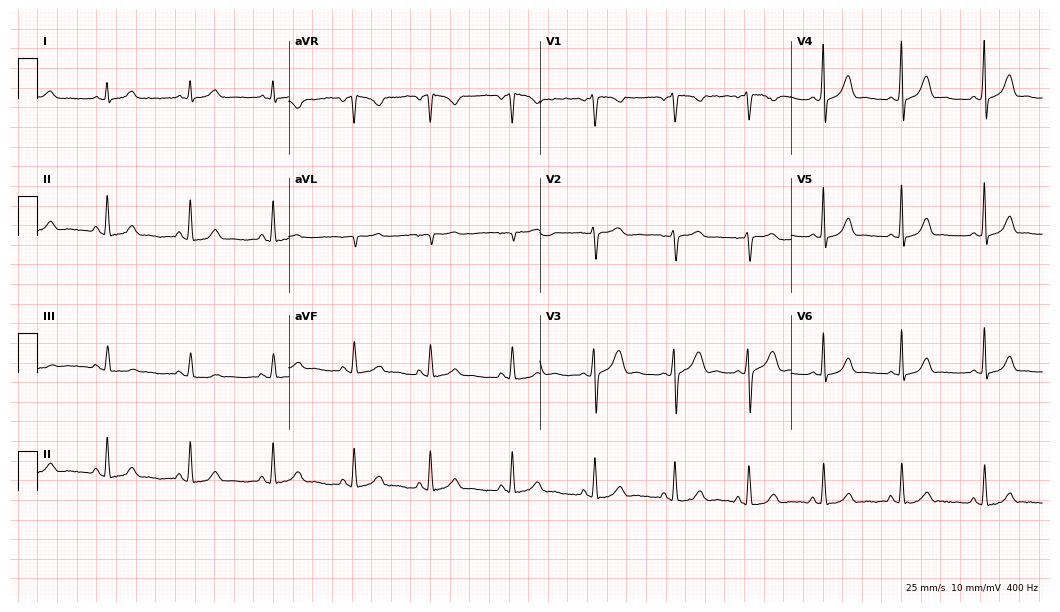
Resting 12-lead electrocardiogram. Patient: a female, 21 years old. Read as a normal ECG.